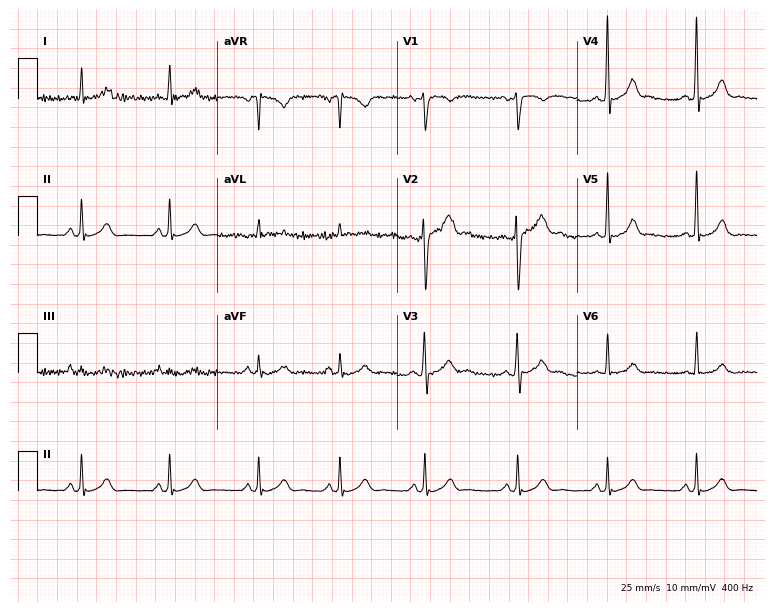
Resting 12-lead electrocardiogram. Patient: a man, 17 years old. Read as a normal ECG.